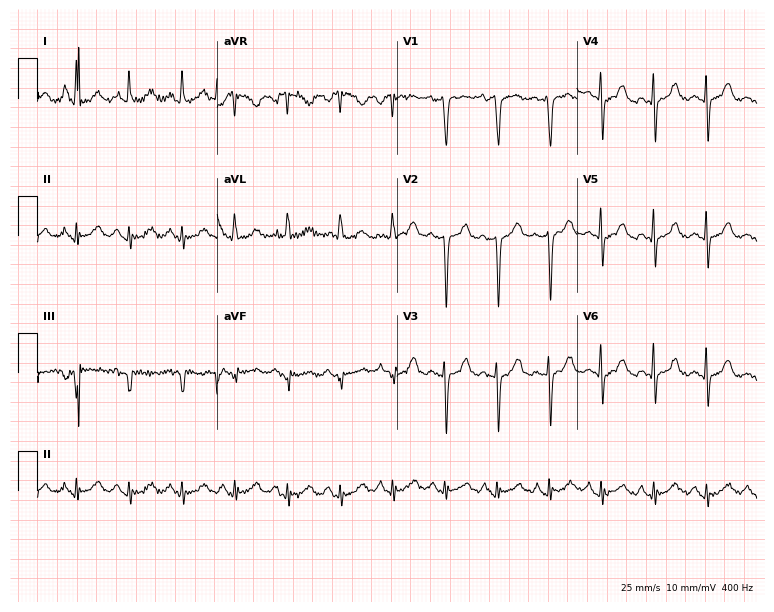
Electrocardiogram, a 58-year-old female. Of the six screened findings (first-degree AV block, right bundle branch block (RBBB), left bundle branch block (LBBB), sinus bradycardia, atrial fibrillation (AF), sinus tachycardia), none is recorded. Only these six findings were labelled.